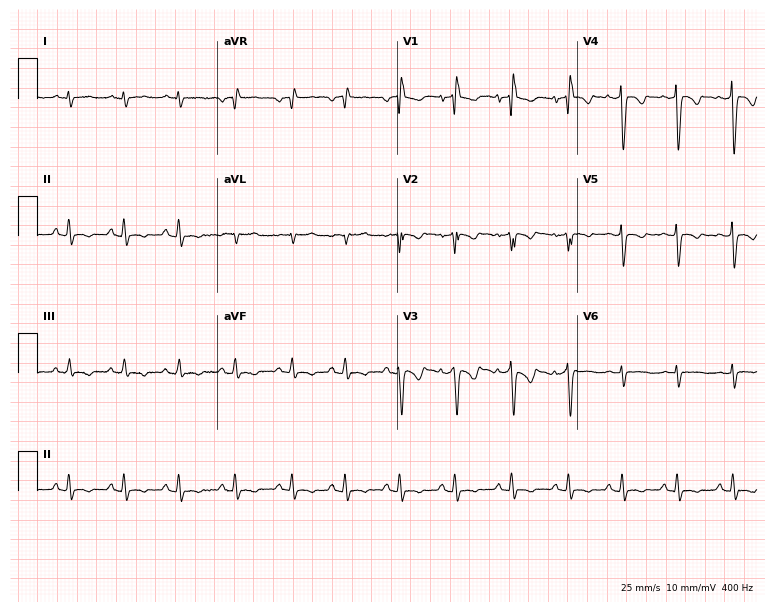
Standard 12-lead ECG recorded from a 45-year-old male (7.3-second recording at 400 Hz). The tracing shows sinus tachycardia (a sinus rate of 100 beats per minute or more).